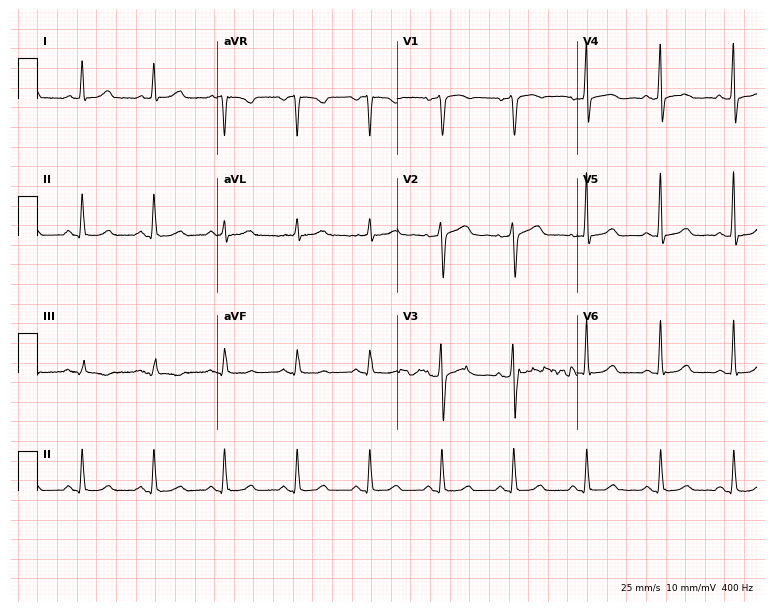
Electrocardiogram (7.3-second recording at 400 Hz), a woman, 77 years old. Overall reading on record: normal ECG.